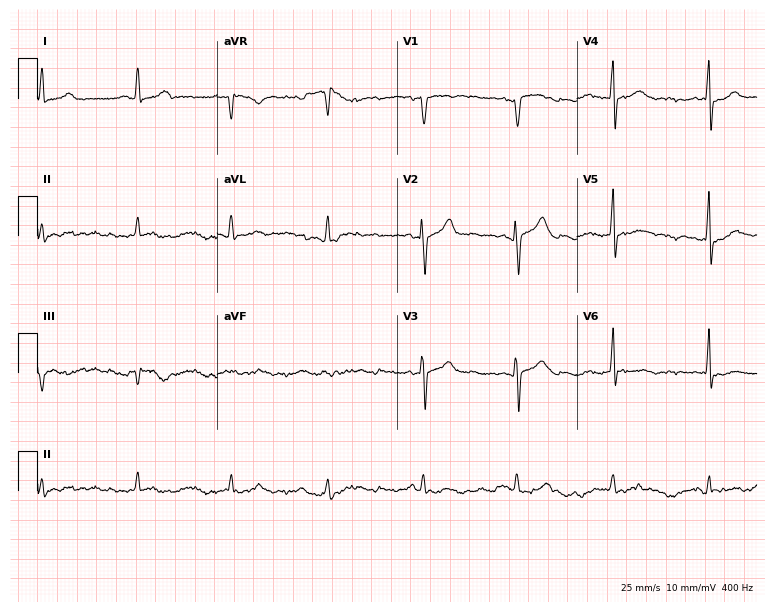
Electrocardiogram (7.3-second recording at 400 Hz), a 61-year-old woman. Overall reading on record: normal ECG.